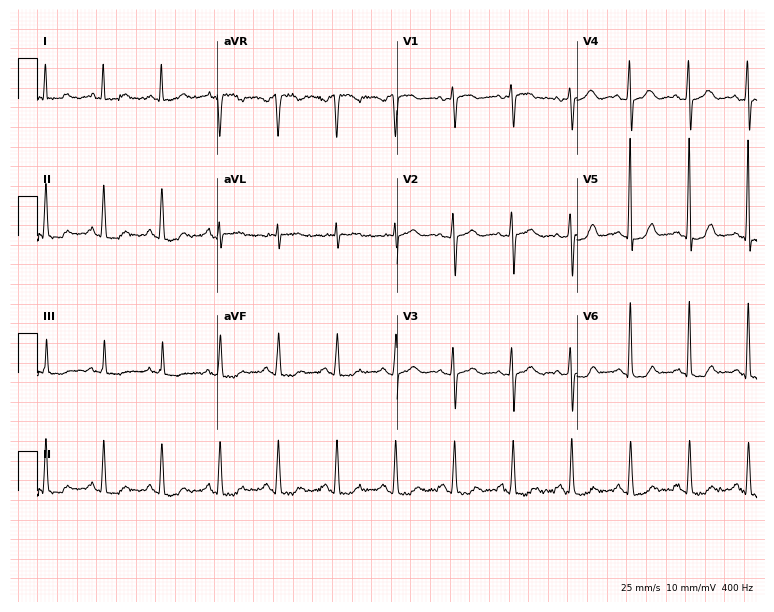
Resting 12-lead electrocardiogram. Patient: a 70-year-old female. Read as a normal ECG.